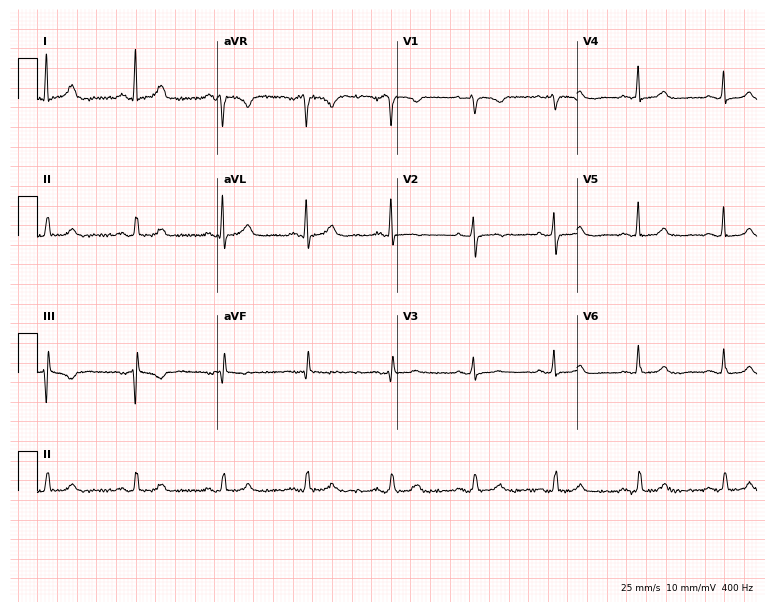
12-lead ECG (7.3-second recording at 400 Hz) from a woman, 58 years old. Screened for six findings — first-degree AV block, right bundle branch block (RBBB), left bundle branch block (LBBB), sinus bradycardia, atrial fibrillation (AF), sinus tachycardia — none is recorded. Only these six findings were labelled.